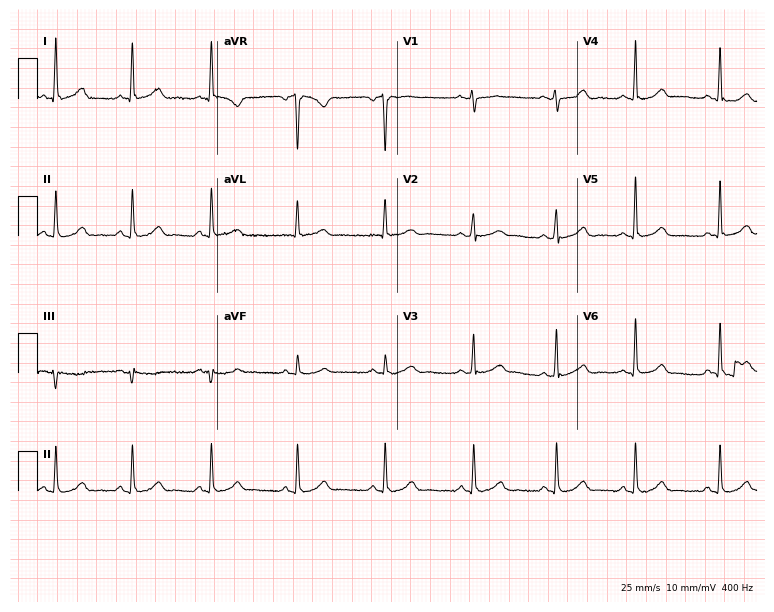
Resting 12-lead electrocardiogram (7.3-second recording at 400 Hz). Patient: a female, 47 years old. Read as a normal ECG.